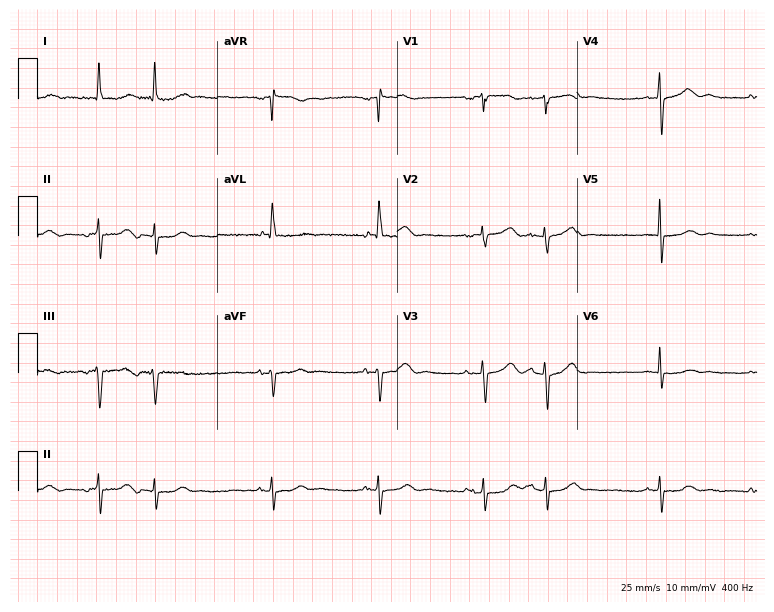
Standard 12-lead ECG recorded from a female patient, 82 years old. None of these six findings is recorded: first-degree AV block, right bundle branch block (RBBB), left bundle branch block (LBBB), sinus bradycardia, atrial fibrillation (AF), sinus tachycardia. Other findings, if any, are not listed.